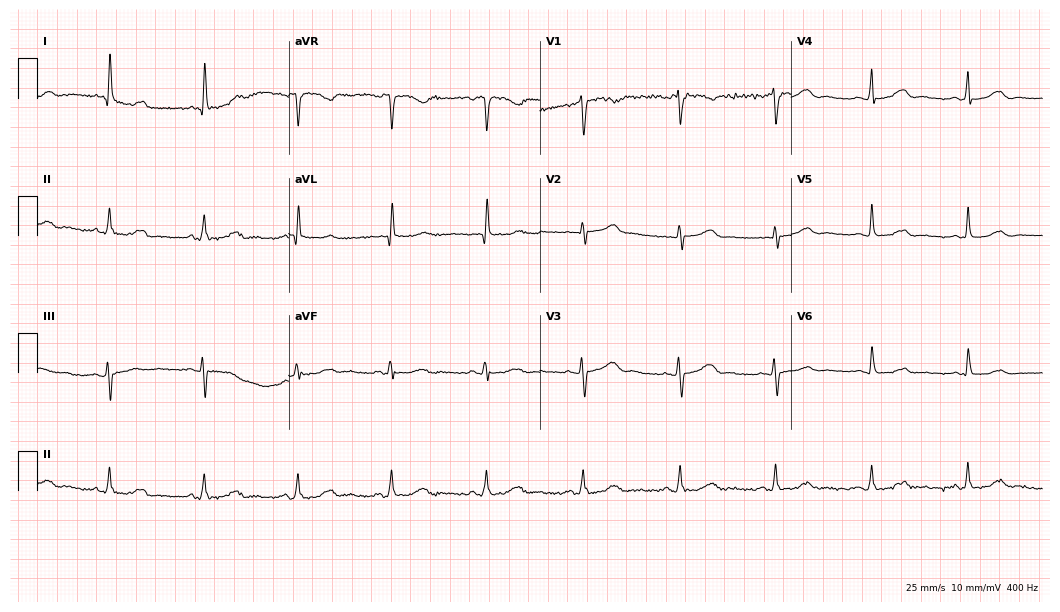
12-lead ECG (10.2-second recording at 400 Hz) from a 77-year-old female. Screened for six findings — first-degree AV block, right bundle branch block, left bundle branch block, sinus bradycardia, atrial fibrillation, sinus tachycardia — none is recorded.